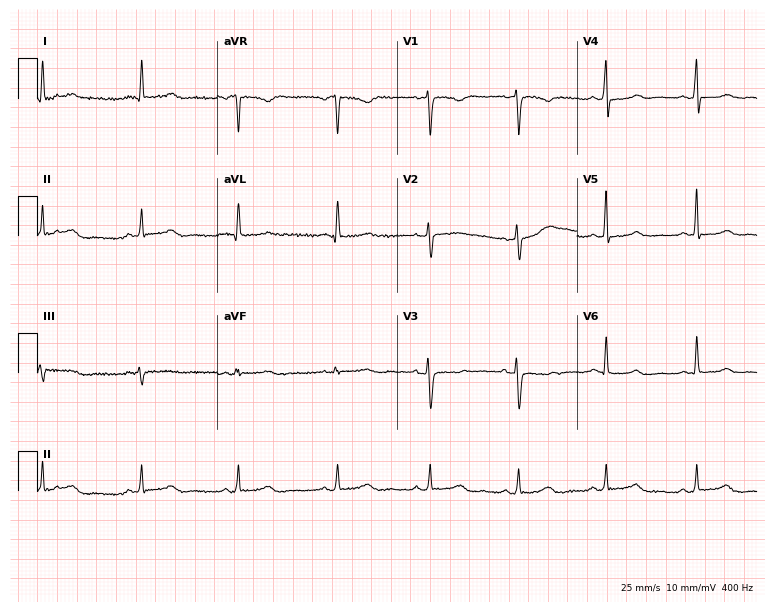
12-lead ECG (7.3-second recording at 400 Hz) from a female patient, 54 years old. Screened for six findings — first-degree AV block, right bundle branch block, left bundle branch block, sinus bradycardia, atrial fibrillation, sinus tachycardia — none is recorded.